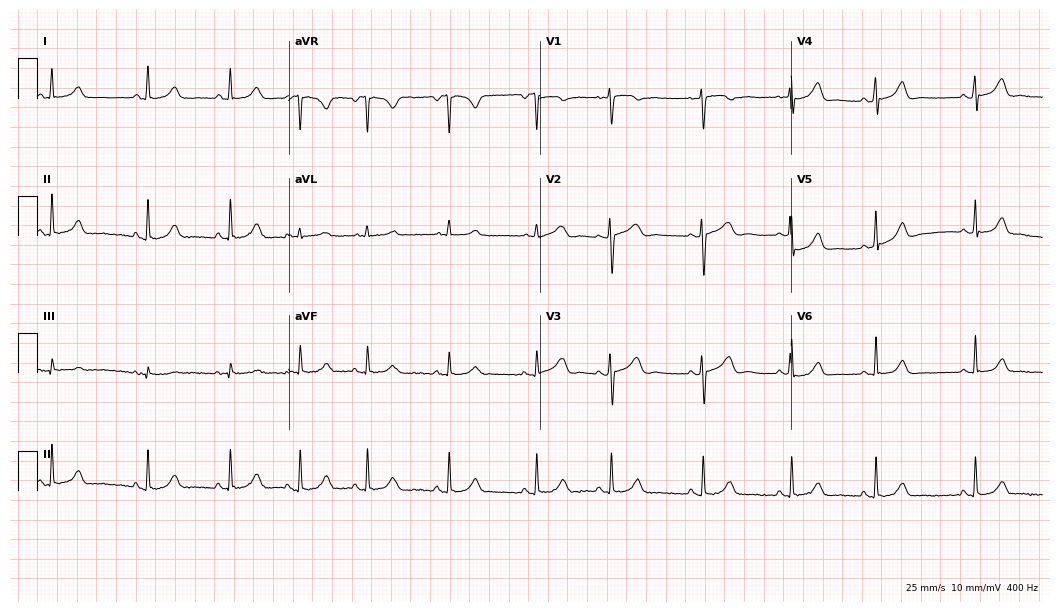
Standard 12-lead ECG recorded from a 19-year-old female. Read as a normal ECG.